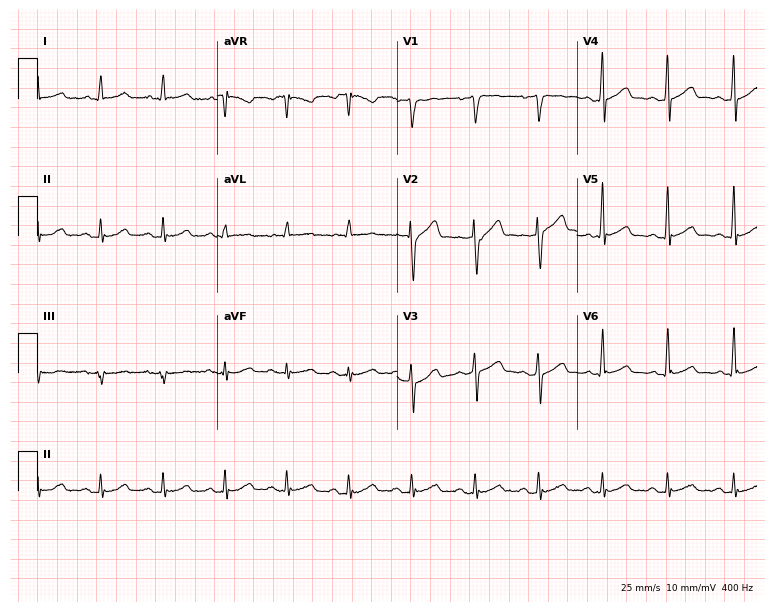
12-lead ECG from a man, 59 years old. Labelled as a normal ECG.